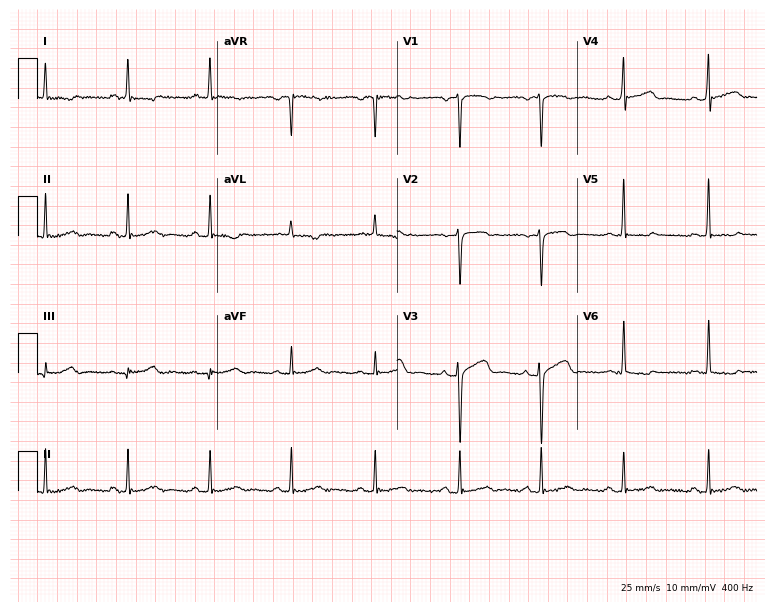
Electrocardiogram, a 31-year-old female patient. Of the six screened findings (first-degree AV block, right bundle branch block, left bundle branch block, sinus bradycardia, atrial fibrillation, sinus tachycardia), none is recorded.